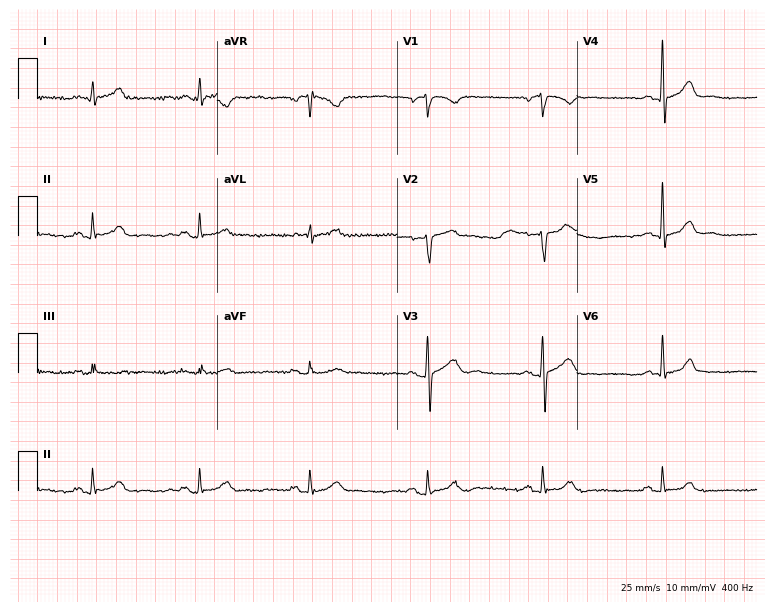
Electrocardiogram, a male, 45 years old. Overall reading on record: normal ECG.